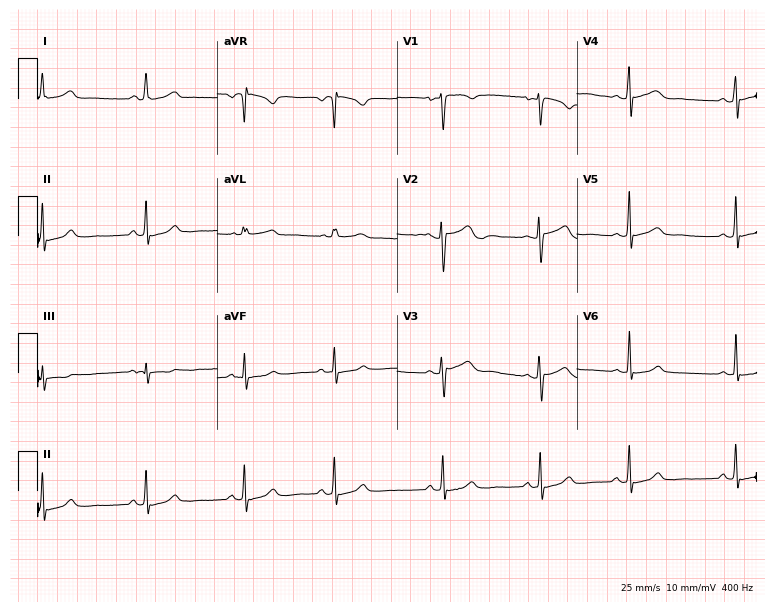
12-lead ECG from a female, 26 years old (7.3-second recording at 400 Hz). No first-degree AV block, right bundle branch block, left bundle branch block, sinus bradycardia, atrial fibrillation or sinus tachycardia recorded for this tracing. Only these six findings were labelled.